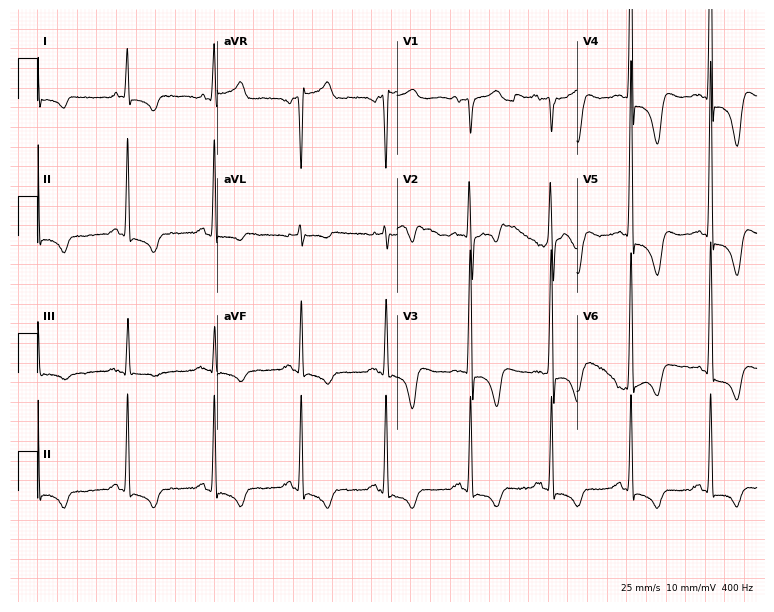
Resting 12-lead electrocardiogram. Patient: a male, 70 years old. None of these six findings is recorded: first-degree AV block, right bundle branch block, left bundle branch block, sinus bradycardia, atrial fibrillation, sinus tachycardia. Other findings, if any, are not listed.